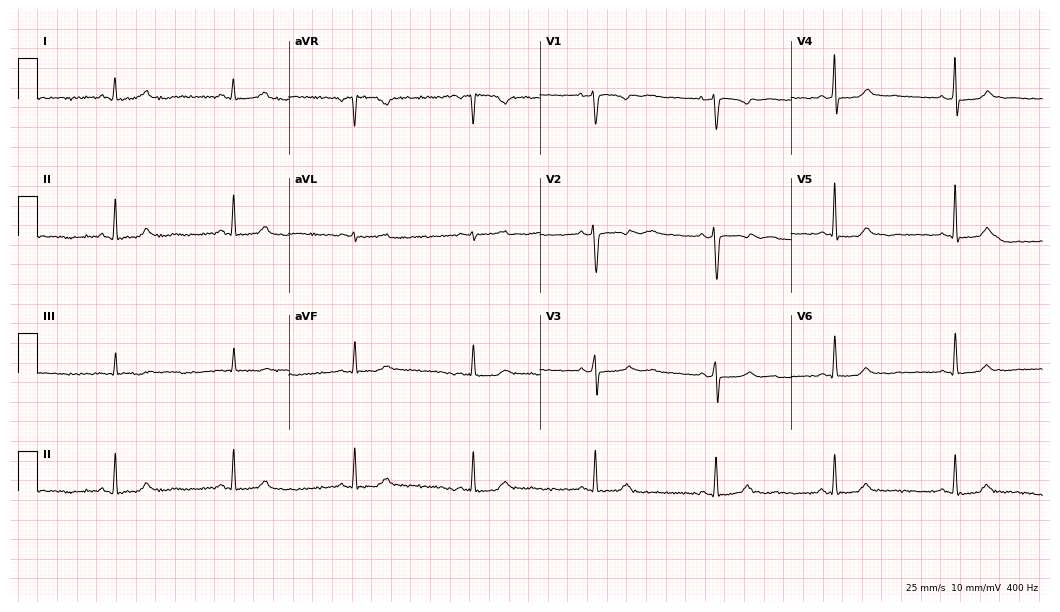
Electrocardiogram (10.2-second recording at 400 Hz), a 45-year-old female patient. Interpretation includes sinus bradycardia (a sinus rate of 50 beats per minute or less).